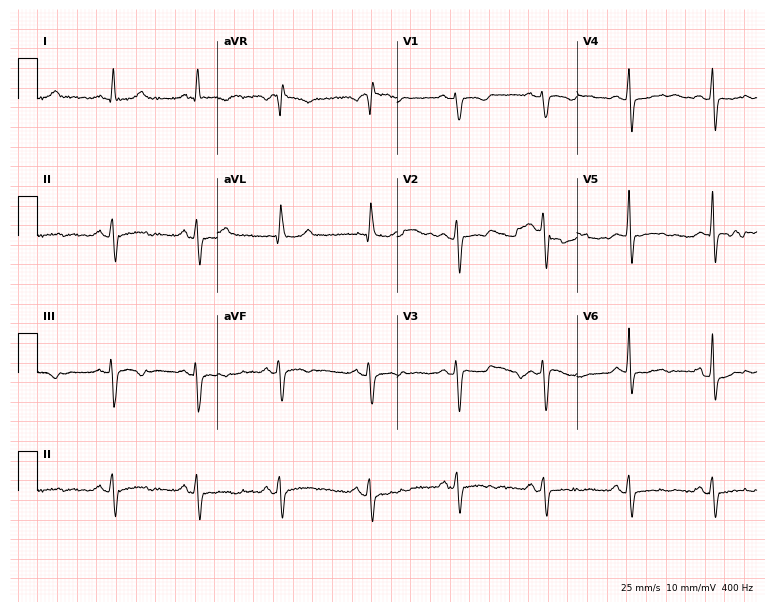
Electrocardiogram (7.3-second recording at 400 Hz), a 48-year-old male. Of the six screened findings (first-degree AV block, right bundle branch block (RBBB), left bundle branch block (LBBB), sinus bradycardia, atrial fibrillation (AF), sinus tachycardia), none is recorded.